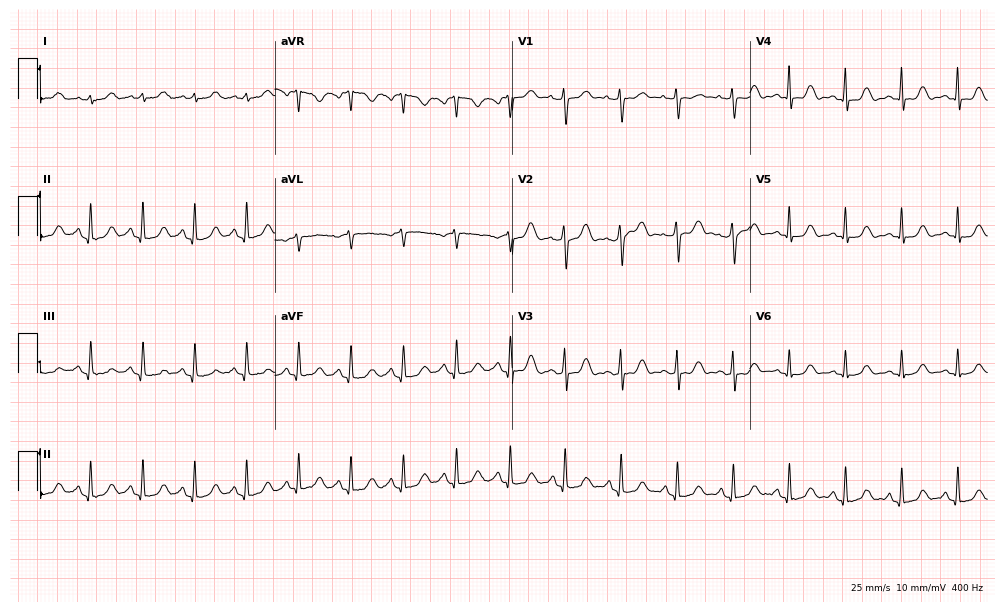
Standard 12-lead ECG recorded from a 57-year-old female. The tracing shows sinus tachycardia (a sinus rate of 100 beats per minute or more).